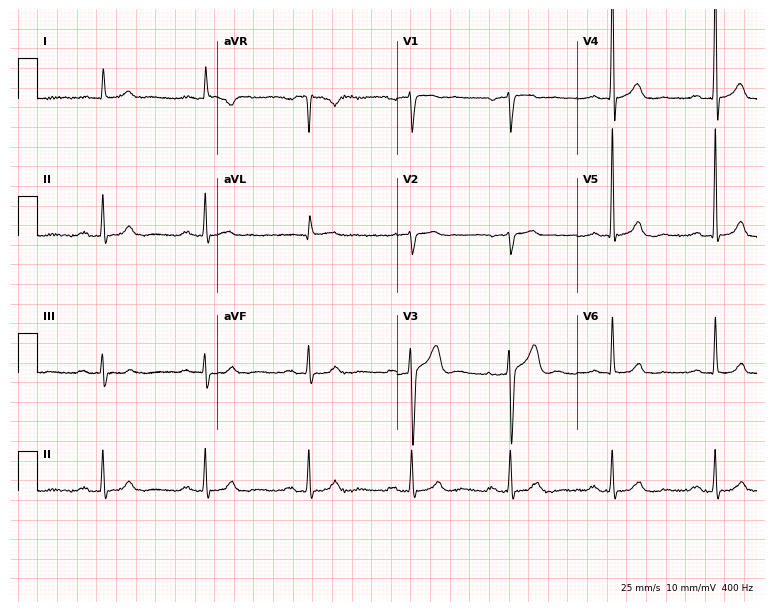
12-lead ECG (7.3-second recording at 400 Hz) from a male patient, 66 years old. Findings include first-degree AV block.